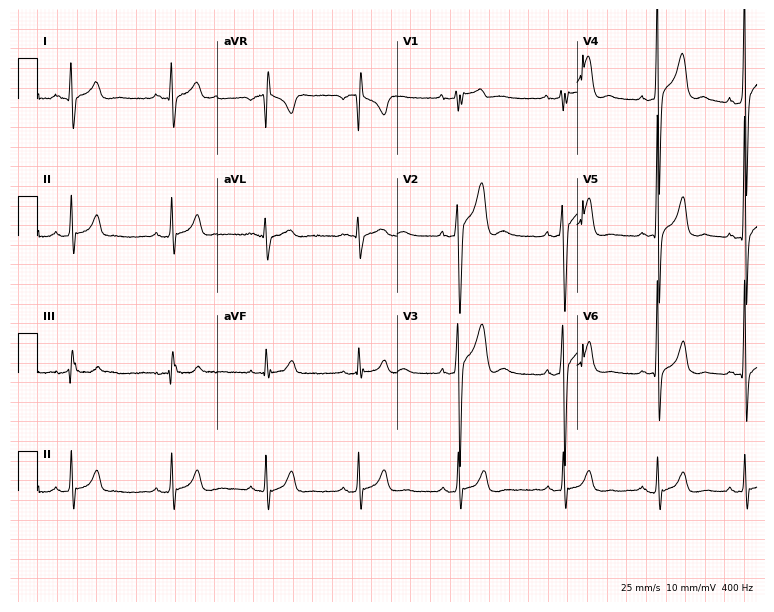
12-lead ECG (7.3-second recording at 400 Hz) from a male, 22 years old. Screened for six findings — first-degree AV block, right bundle branch block, left bundle branch block, sinus bradycardia, atrial fibrillation, sinus tachycardia — none is recorded. Findings outside these six are not listed.